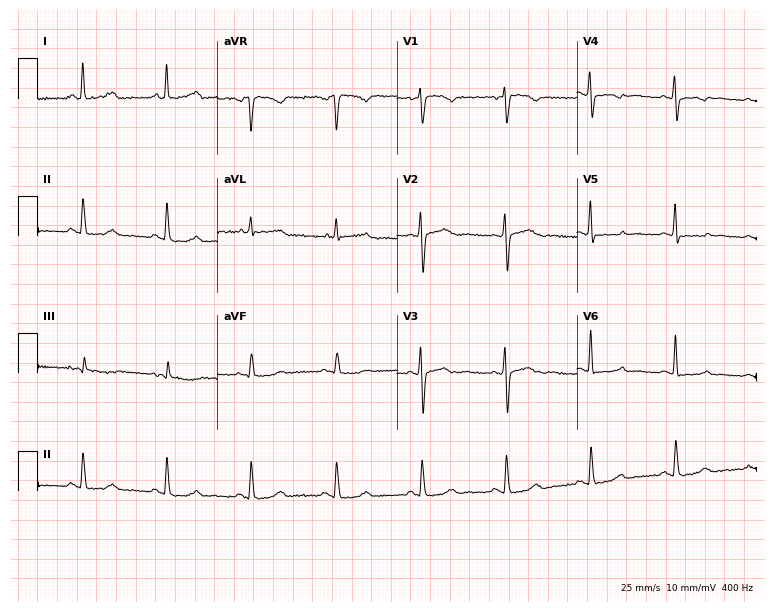
ECG (7.3-second recording at 400 Hz) — a 53-year-old woman. Screened for six findings — first-degree AV block, right bundle branch block (RBBB), left bundle branch block (LBBB), sinus bradycardia, atrial fibrillation (AF), sinus tachycardia — none is recorded.